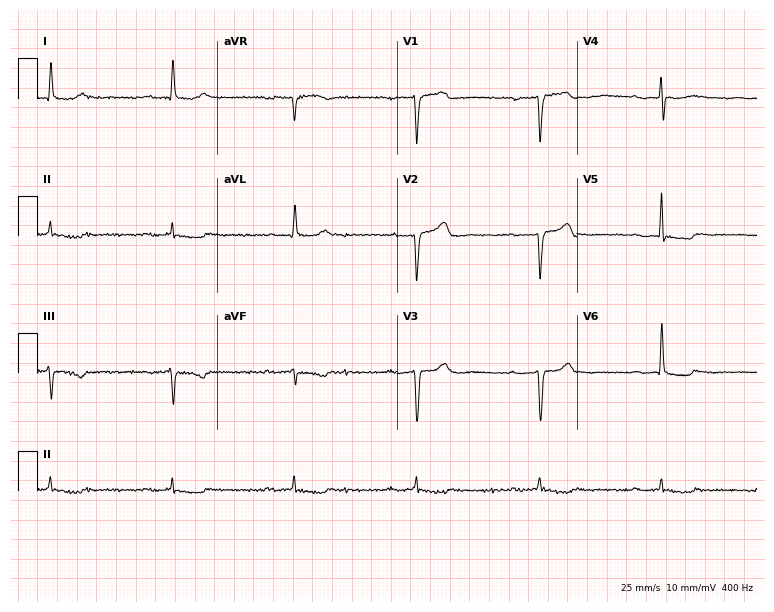
12-lead ECG from a man, 83 years old (7.3-second recording at 400 Hz). Shows sinus bradycardia (a sinus rate of 50 beats per minute or less).